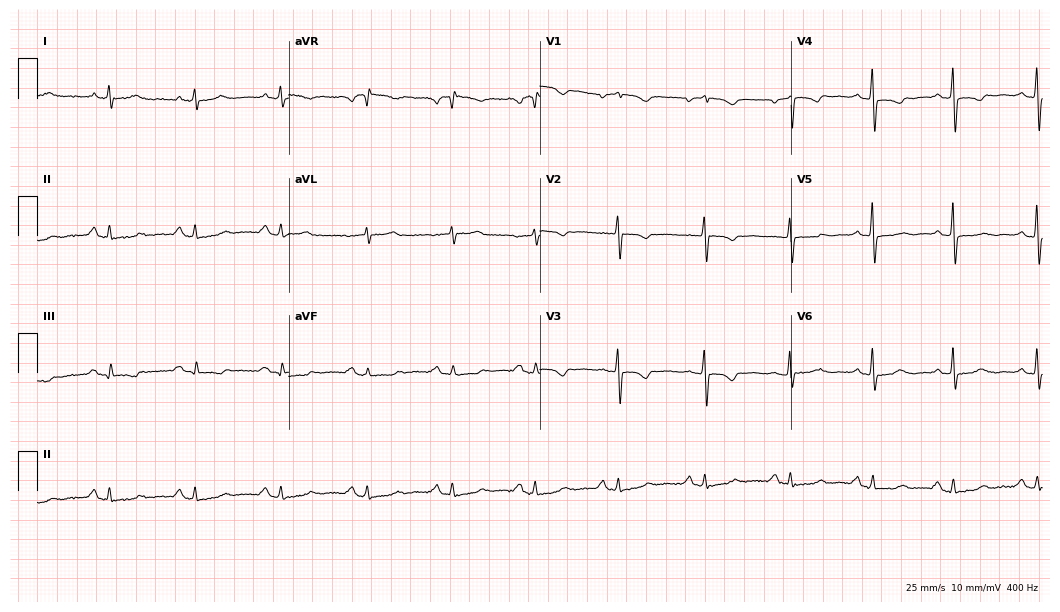
Resting 12-lead electrocardiogram (10.2-second recording at 400 Hz). Patient: a woman, 71 years old. None of these six findings is recorded: first-degree AV block, right bundle branch block, left bundle branch block, sinus bradycardia, atrial fibrillation, sinus tachycardia.